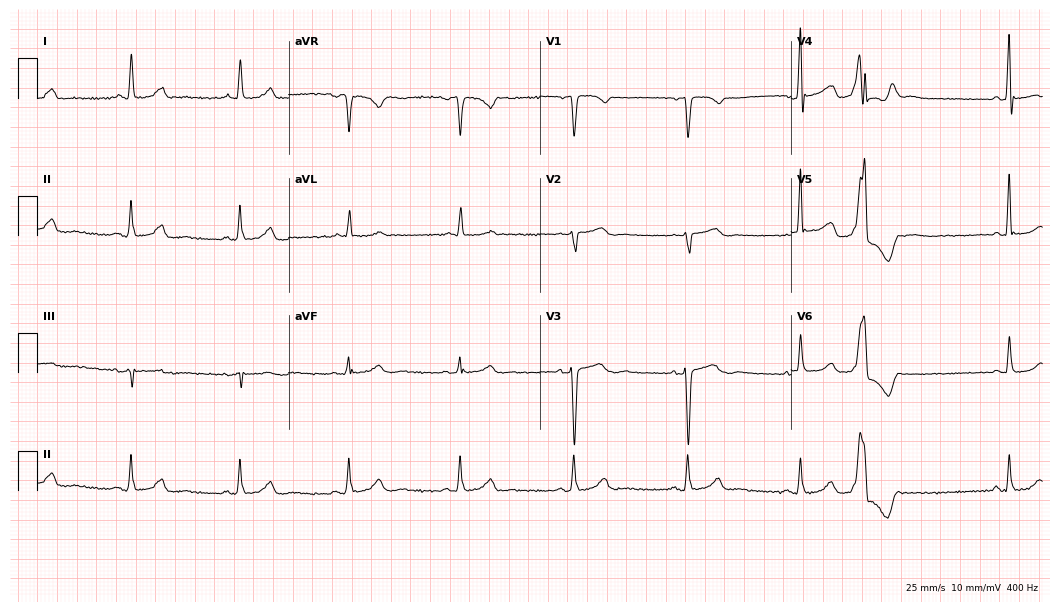
12-lead ECG (10.2-second recording at 400 Hz) from a 53-year-old female. Screened for six findings — first-degree AV block, right bundle branch block (RBBB), left bundle branch block (LBBB), sinus bradycardia, atrial fibrillation (AF), sinus tachycardia — none is recorded. Findings outside these six are not listed.